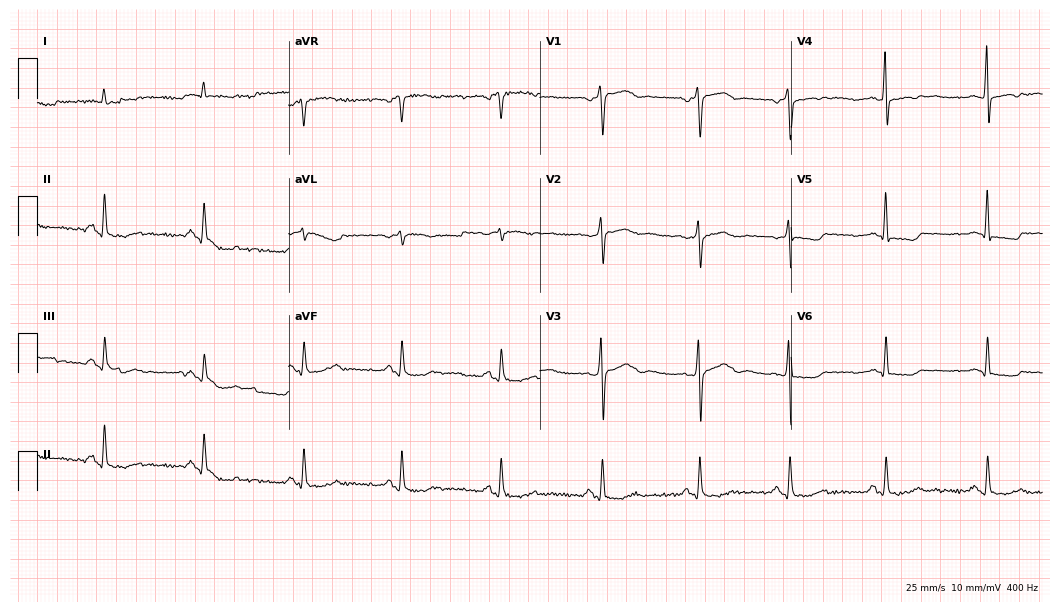
ECG — a male patient, 73 years old. Labelled as a normal ECG.